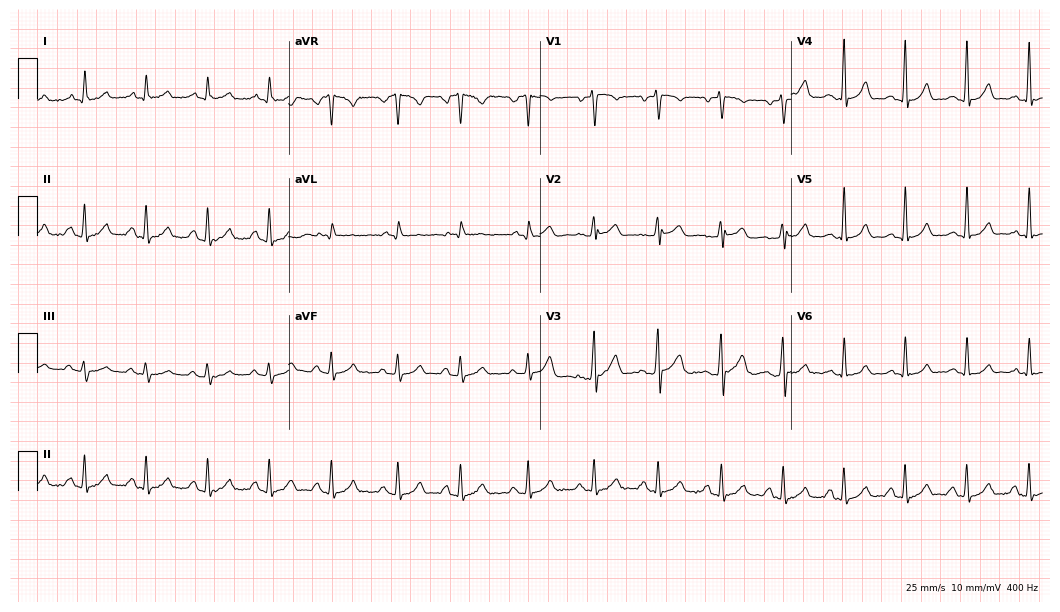
Resting 12-lead electrocardiogram. Patient: a 50-year-old male. None of these six findings is recorded: first-degree AV block, right bundle branch block, left bundle branch block, sinus bradycardia, atrial fibrillation, sinus tachycardia. Findings outside these six are not listed.